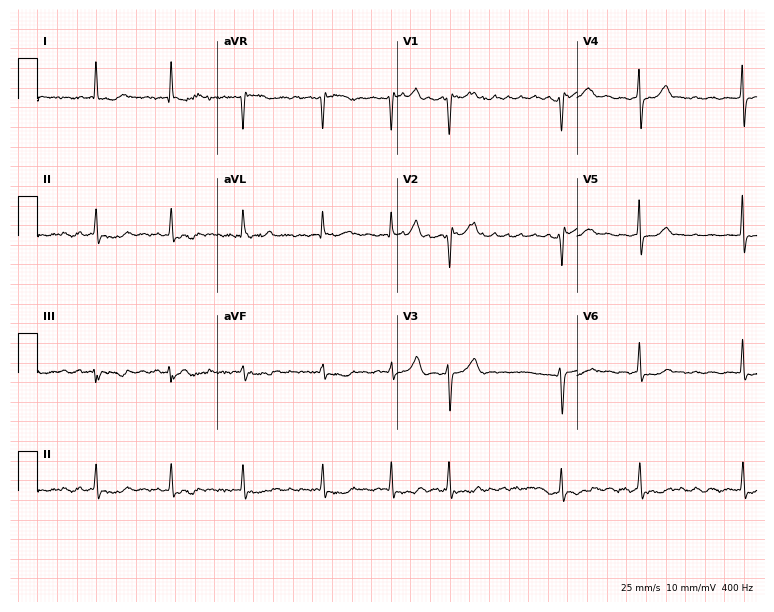
12-lead ECG from a 53-year-old woman (7.3-second recording at 400 Hz). Shows atrial fibrillation (AF).